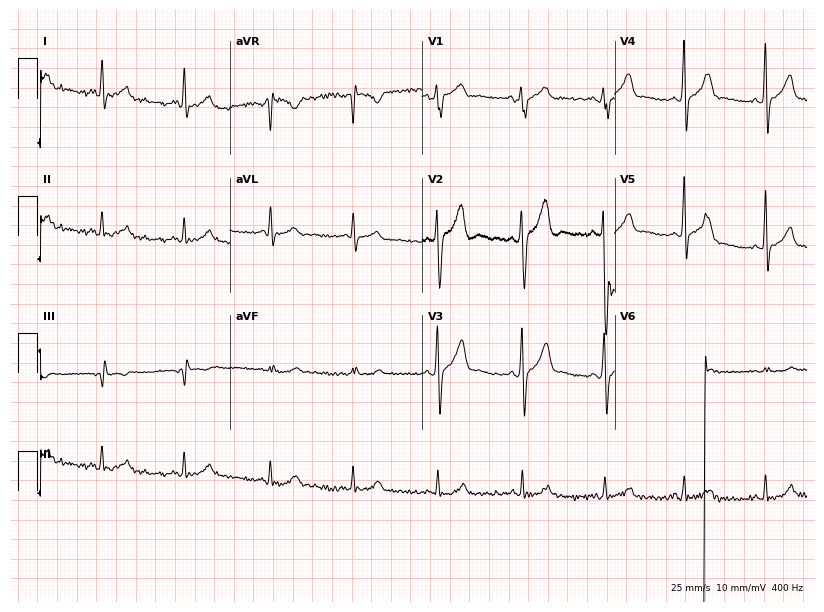
12-lead ECG from a male patient, 34 years old. No first-degree AV block, right bundle branch block, left bundle branch block, sinus bradycardia, atrial fibrillation or sinus tachycardia recorded for this tracing. Findings outside these six are not listed.